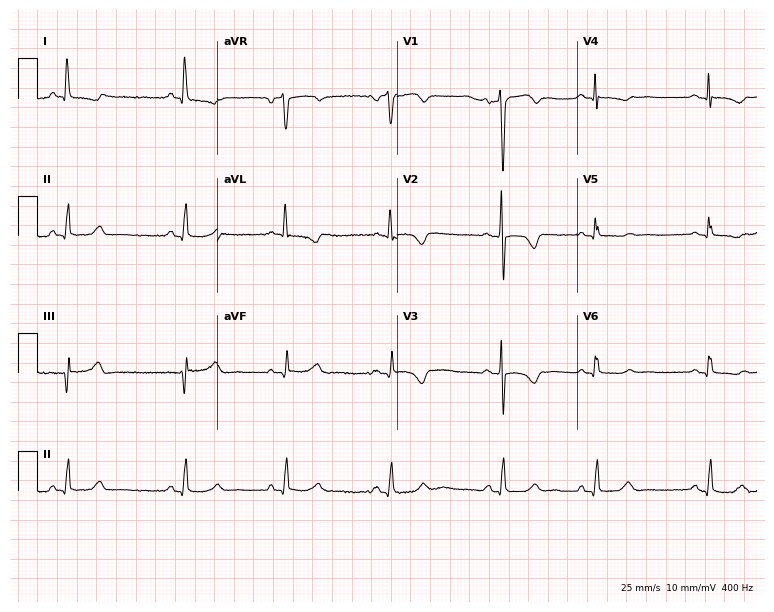
12-lead ECG (7.3-second recording at 400 Hz) from a 56-year-old woman. Screened for six findings — first-degree AV block, right bundle branch block, left bundle branch block, sinus bradycardia, atrial fibrillation, sinus tachycardia — none is recorded. Findings outside these six are not listed.